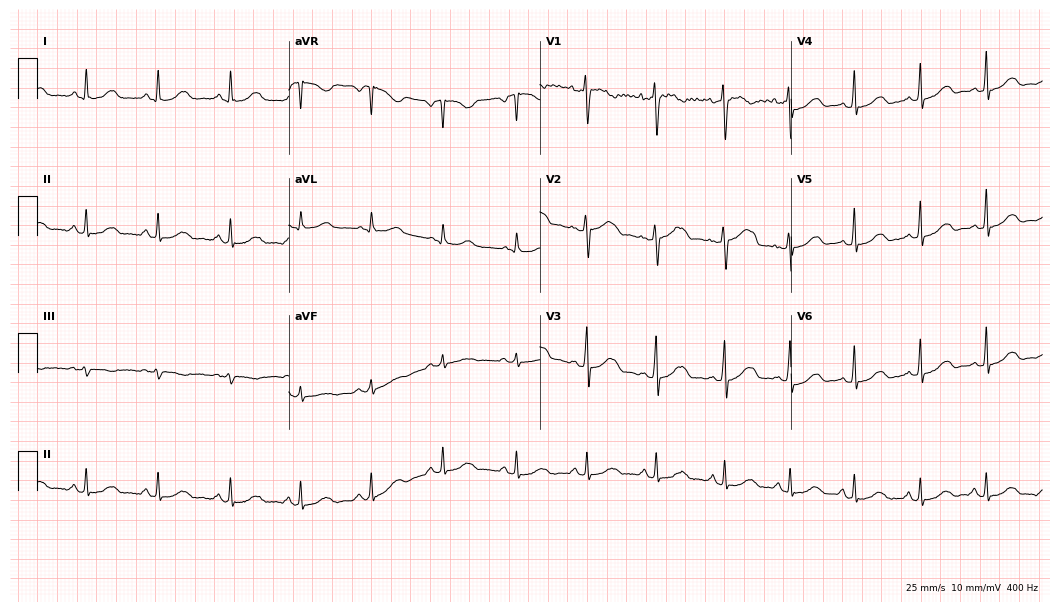
Resting 12-lead electrocardiogram. Patient: a female, 26 years old. Read as a normal ECG.